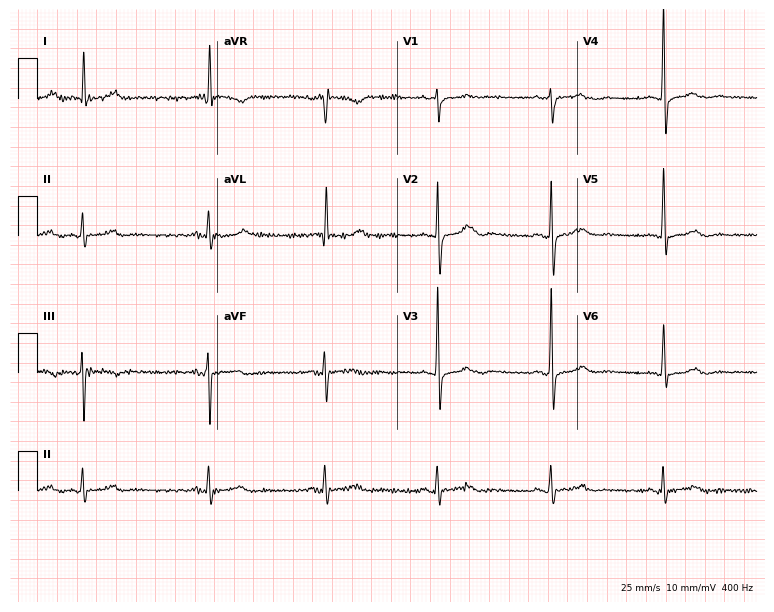
Resting 12-lead electrocardiogram. Patient: an 83-year-old male. Read as a normal ECG.